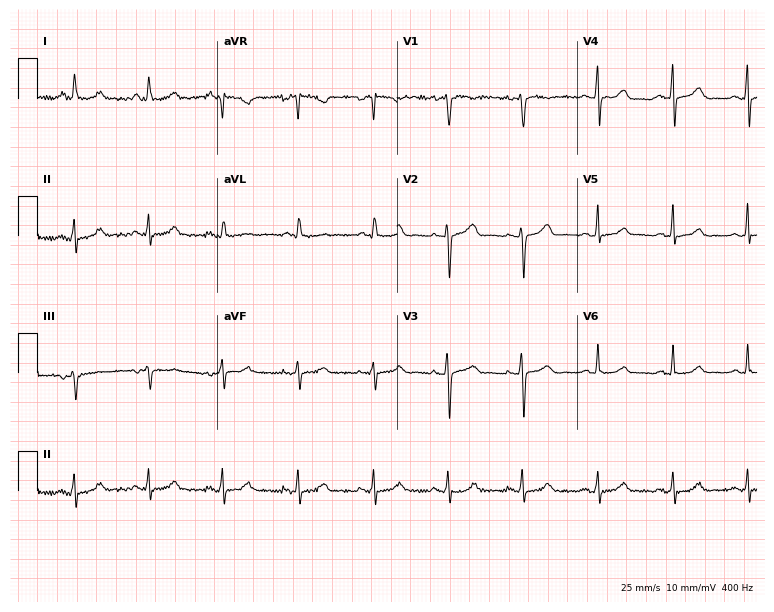
Standard 12-lead ECG recorded from a 35-year-old woman. Read as a normal ECG.